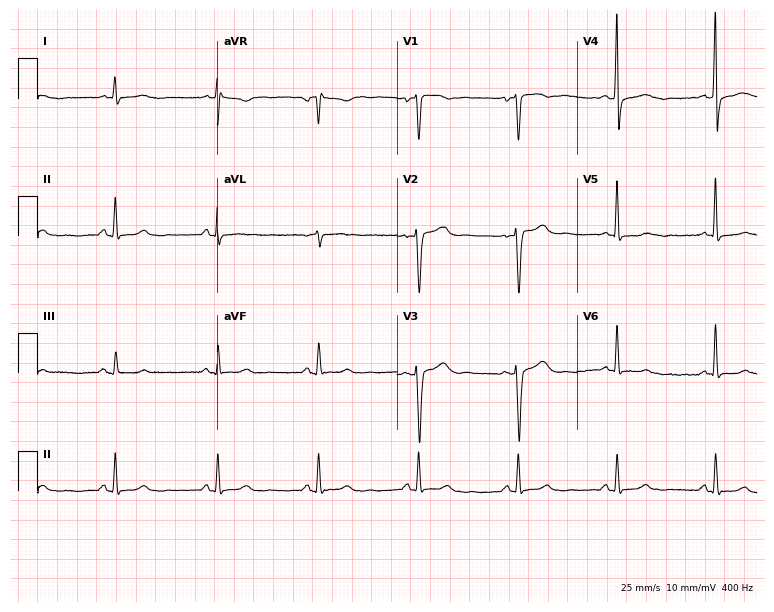
12-lead ECG (7.3-second recording at 400 Hz) from a 61-year-old woman. Screened for six findings — first-degree AV block, right bundle branch block (RBBB), left bundle branch block (LBBB), sinus bradycardia, atrial fibrillation (AF), sinus tachycardia — none is recorded.